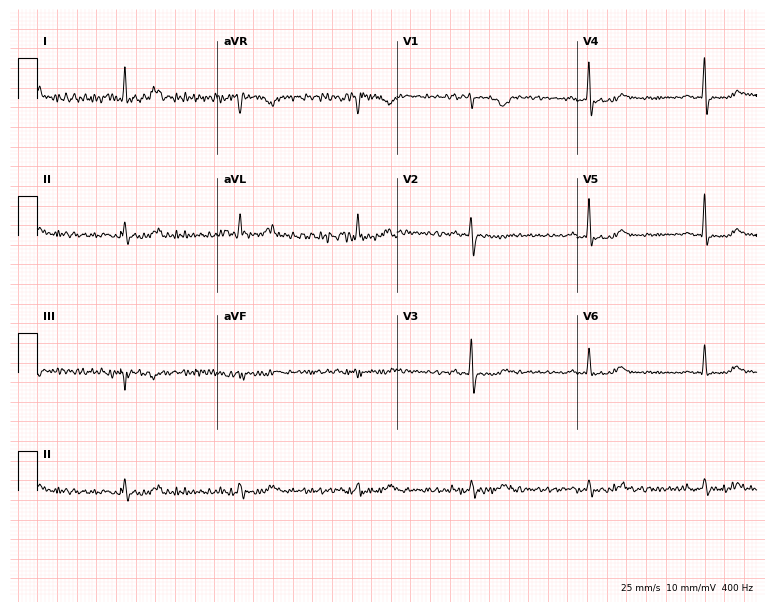
12-lead ECG (7.3-second recording at 400 Hz) from a 66-year-old woman. Screened for six findings — first-degree AV block, right bundle branch block (RBBB), left bundle branch block (LBBB), sinus bradycardia, atrial fibrillation (AF), sinus tachycardia — none is recorded.